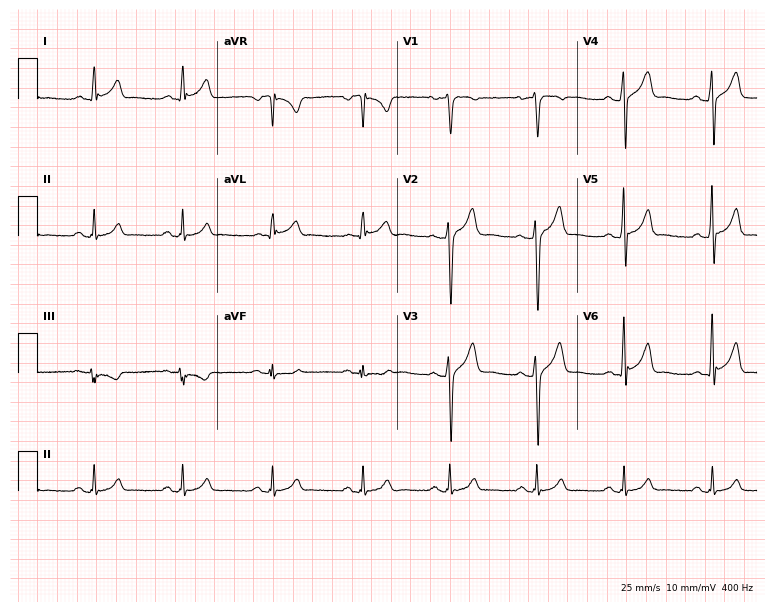
ECG — a 42-year-old male. Labelled as a normal ECG.